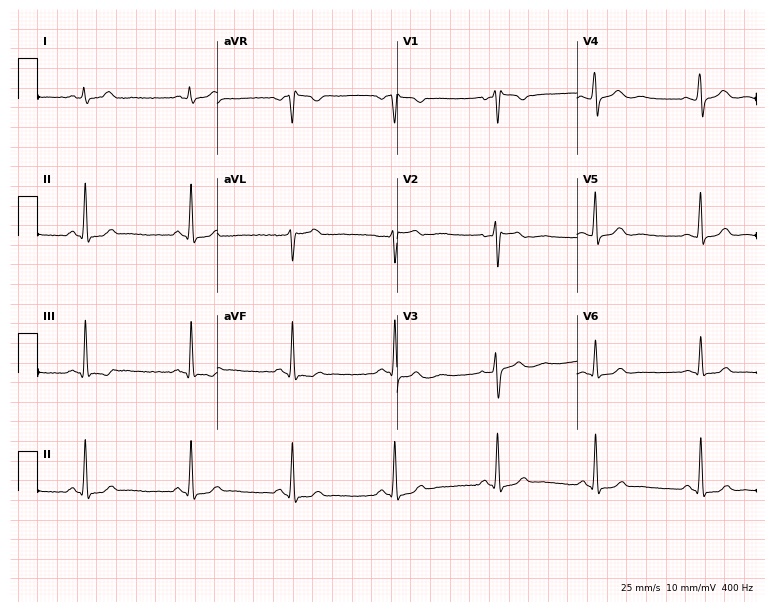
12-lead ECG from a 24-year-old female. Screened for six findings — first-degree AV block, right bundle branch block, left bundle branch block, sinus bradycardia, atrial fibrillation, sinus tachycardia — none is recorded. Findings outside these six are not listed.